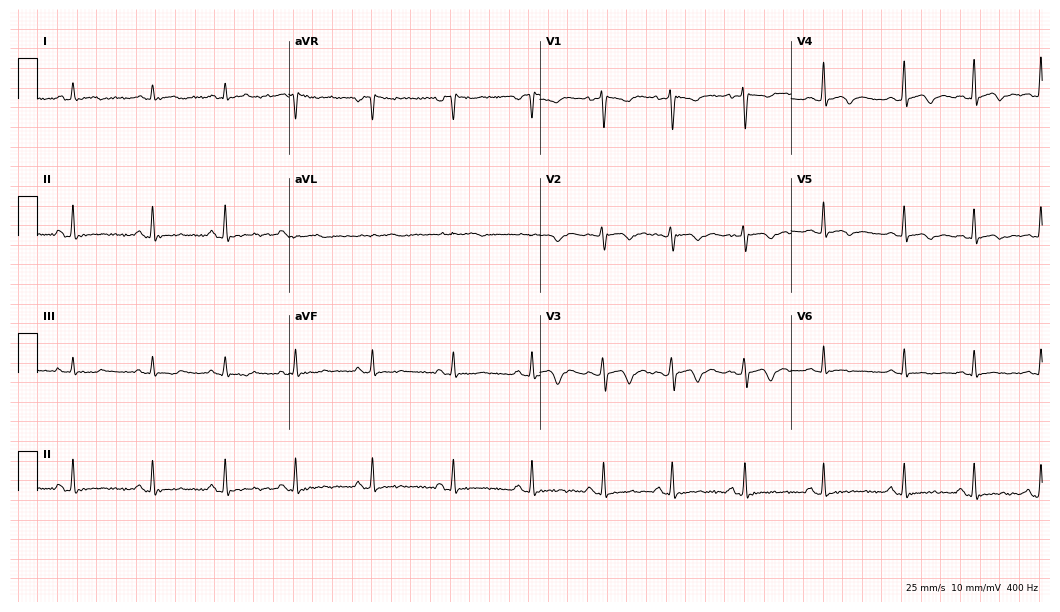
12-lead ECG from a female, 18 years old (10.2-second recording at 400 Hz). No first-degree AV block, right bundle branch block, left bundle branch block, sinus bradycardia, atrial fibrillation or sinus tachycardia recorded for this tracing. Findings outside these six are not listed.